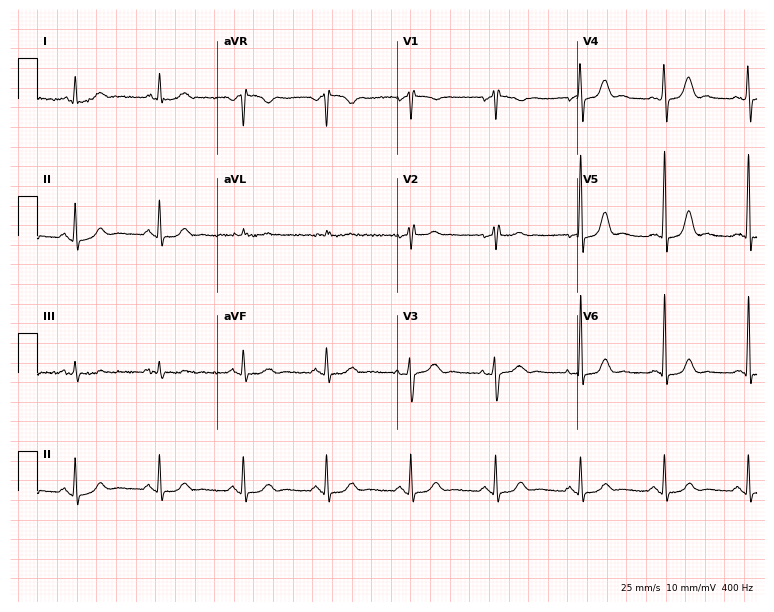
12-lead ECG from a 63-year-old female. Labelled as a normal ECG.